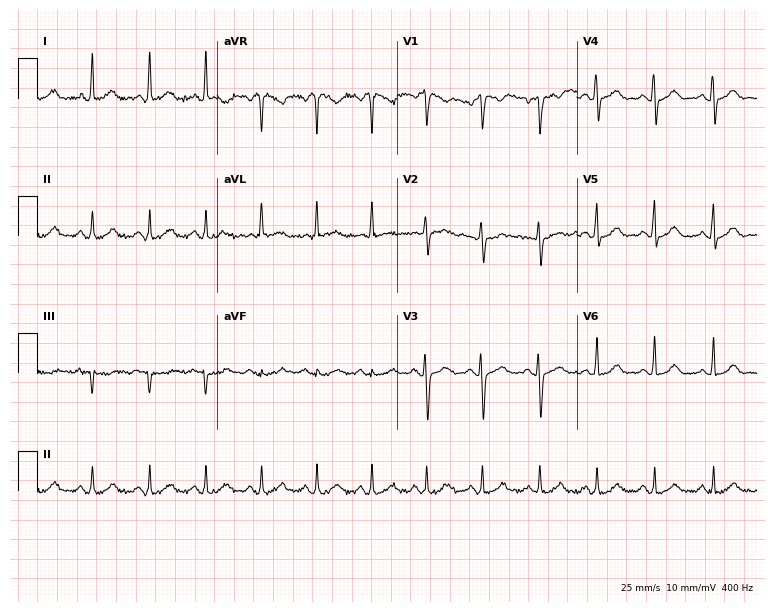
12-lead ECG from a 30-year-old female. Recorded interpretation: within normal limits.